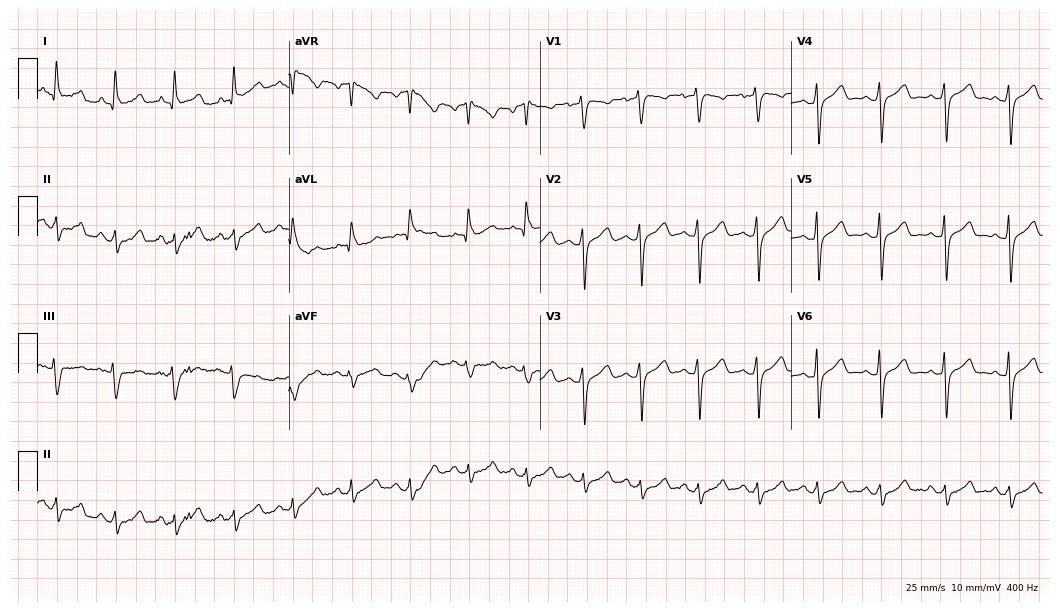
Resting 12-lead electrocardiogram (10.2-second recording at 400 Hz). Patient: a male, 41 years old. None of these six findings is recorded: first-degree AV block, right bundle branch block (RBBB), left bundle branch block (LBBB), sinus bradycardia, atrial fibrillation (AF), sinus tachycardia. Other findings, if any, are not listed.